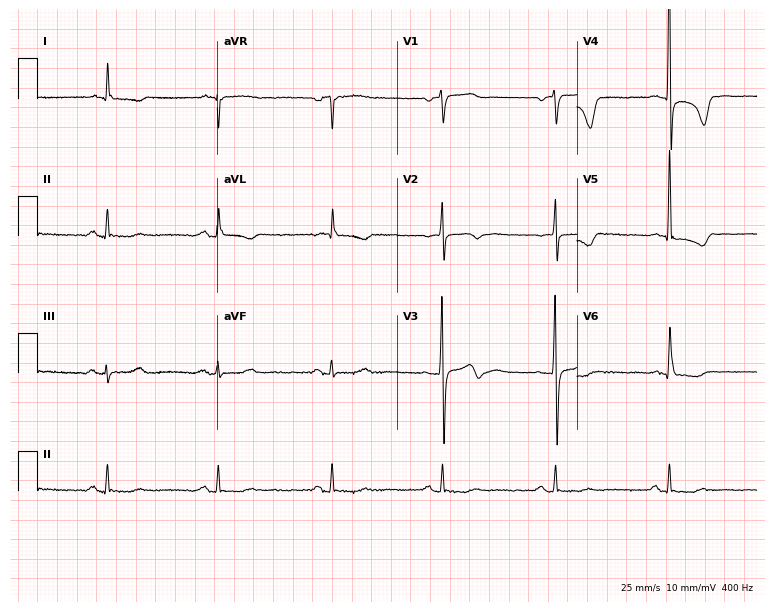
Electrocardiogram, an 84-year-old woman. Of the six screened findings (first-degree AV block, right bundle branch block, left bundle branch block, sinus bradycardia, atrial fibrillation, sinus tachycardia), none is recorded.